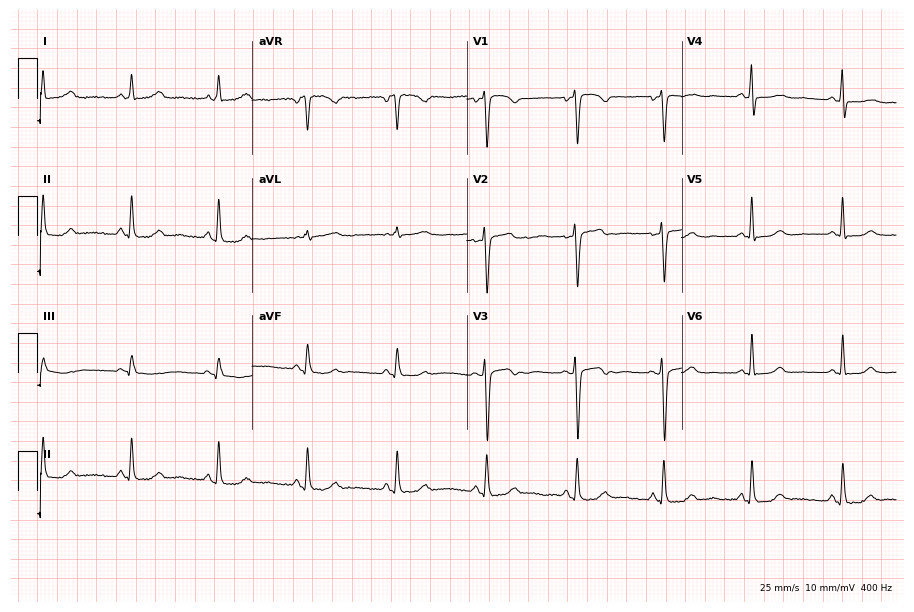
Standard 12-lead ECG recorded from a female, 52 years old (8.8-second recording at 400 Hz). None of these six findings is recorded: first-degree AV block, right bundle branch block, left bundle branch block, sinus bradycardia, atrial fibrillation, sinus tachycardia. Findings outside these six are not listed.